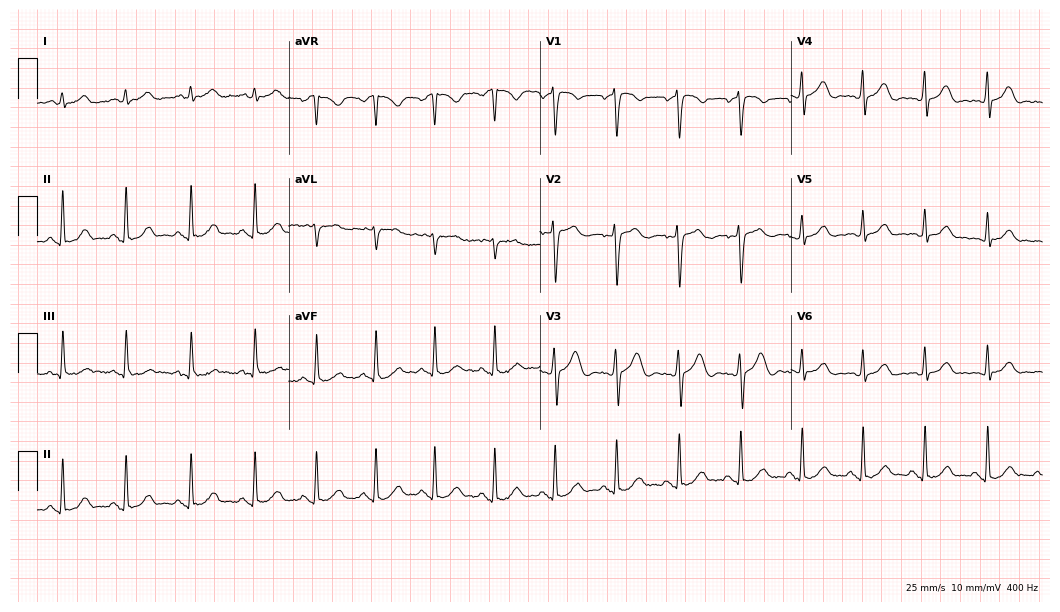
12-lead ECG (10.2-second recording at 400 Hz) from a 40-year-old female. Labelled as a normal ECG.